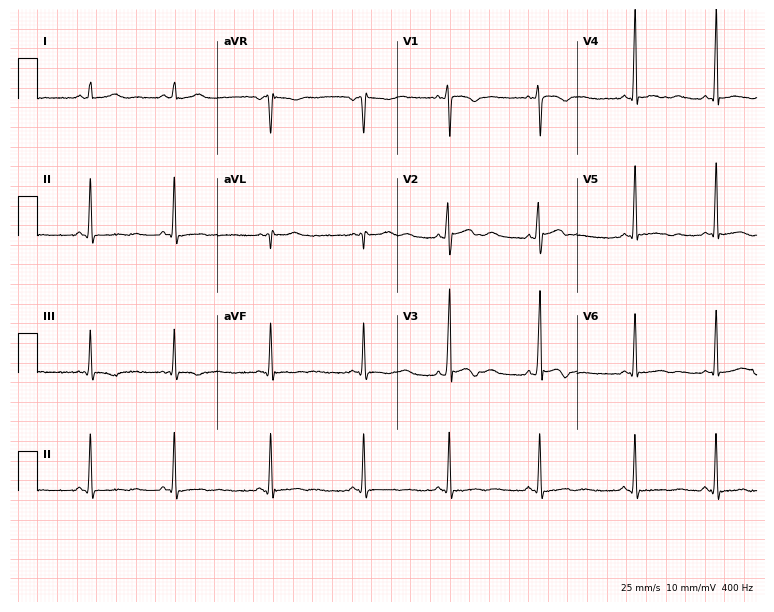
12-lead ECG from a male, 27 years old. Screened for six findings — first-degree AV block, right bundle branch block (RBBB), left bundle branch block (LBBB), sinus bradycardia, atrial fibrillation (AF), sinus tachycardia — none is recorded.